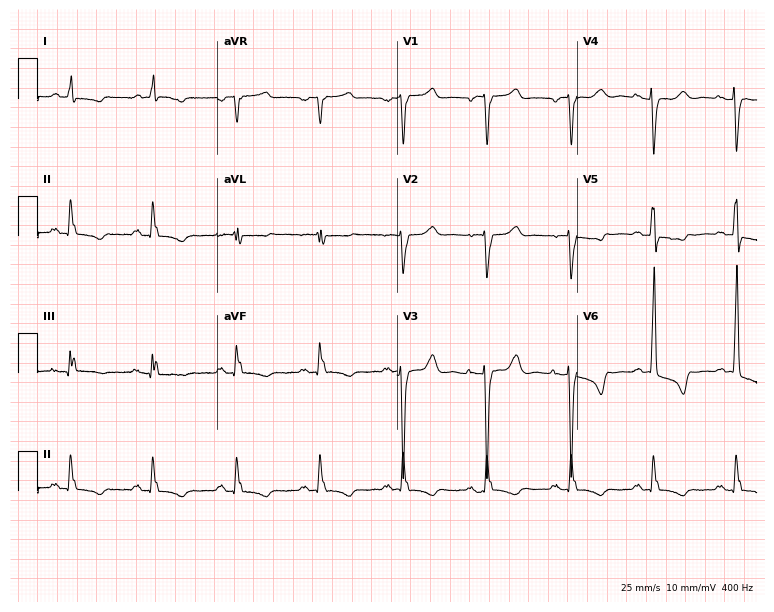
Standard 12-lead ECG recorded from a 79-year-old female patient. None of these six findings is recorded: first-degree AV block, right bundle branch block, left bundle branch block, sinus bradycardia, atrial fibrillation, sinus tachycardia. Only these six findings were labelled.